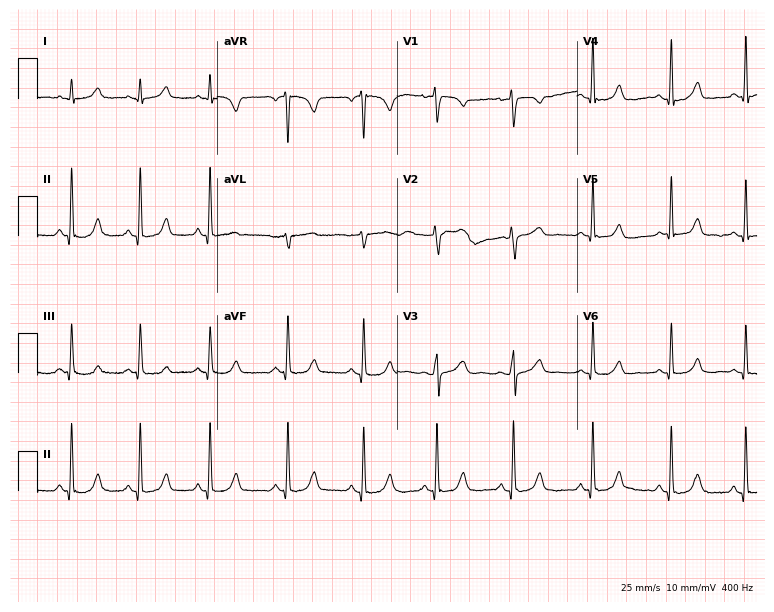
Standard 12-lead ECG recorded from a woman, 46 years old (7.3-second recording at 400 Hz). Read as a normal ECG.